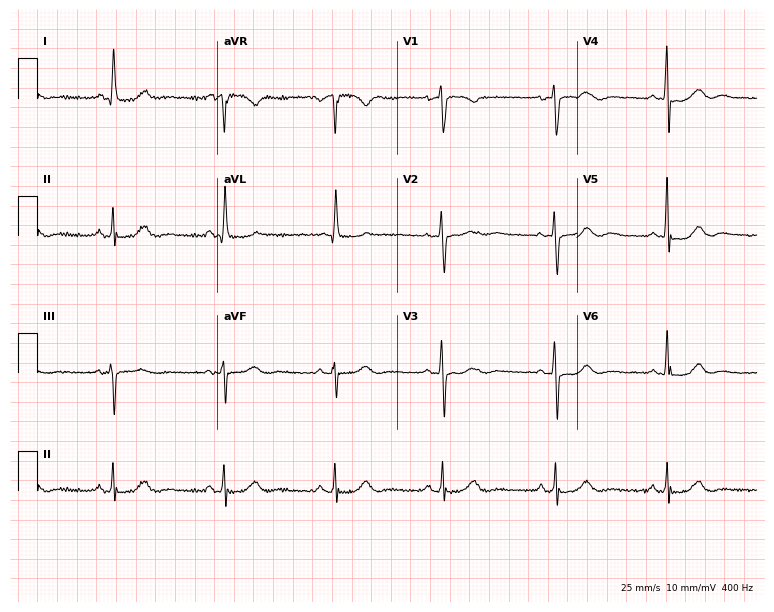
12-lead ECG from a woman, 56 years old (7.3-second recording at 400 Hz). No first-degree AV block, right bundle branch block (RBBB), left bundle branch block (LBBB), sinus bradycardia, atrial fibrillation (AF) or sinus tachycardia recorded for this tracing. Only these six findings were labelled.